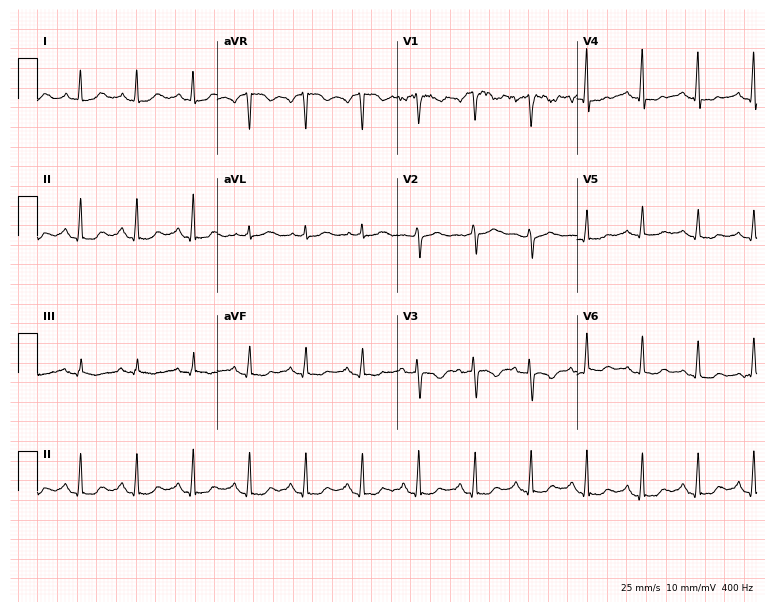
Standard 12-lead ECG recorded from a female, 58 years old. The tracing shows sinus tachycardia (a sinus rate of 100 beats per minute or more).